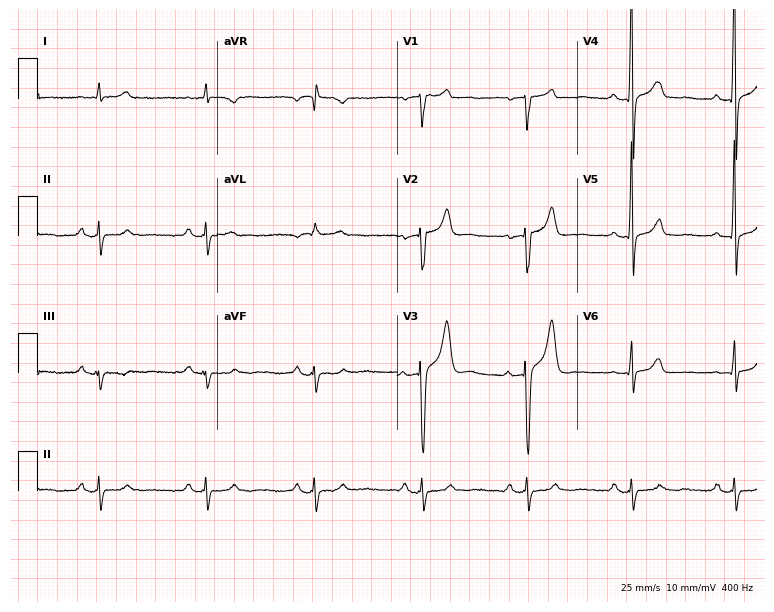
Electrocardiogram (7.3-second recording at 400 Hz), a 54-year-old female patient. Of the six screened findings (first-degree AV block, right bundle branch block (RBBB), left bundle branch block (LBBB), sinus bradycardia, atrial fibrillation (AF), sinus tachycardia), none is recorded. Findings outside these six are not listed.